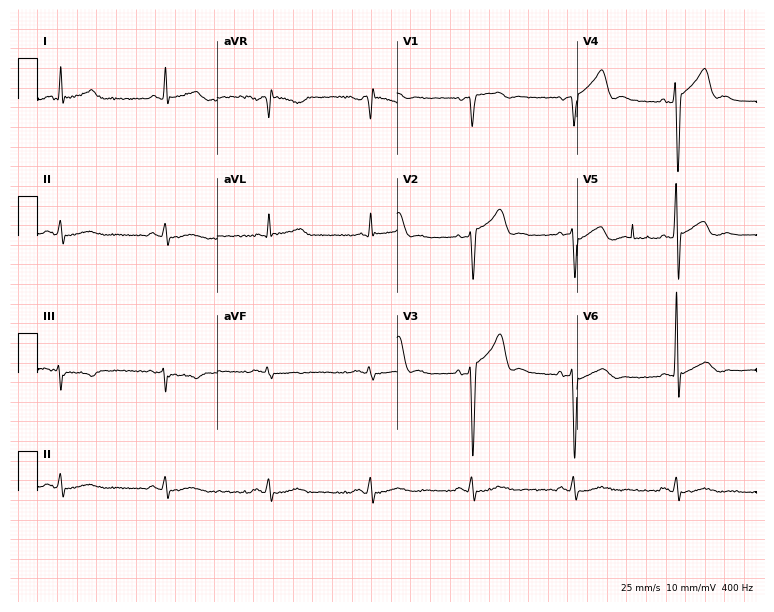
Electrocardiogram (7.3-second recording at 400 Hz), a 65-year-old man. Of the six screened findings (first-degree AV block, right bundle branch block (RBBB), left bundle branch block (LBBB), sinus bradycardia, atrial fibrillation (AF), sinus tachycardia), none is recorded.